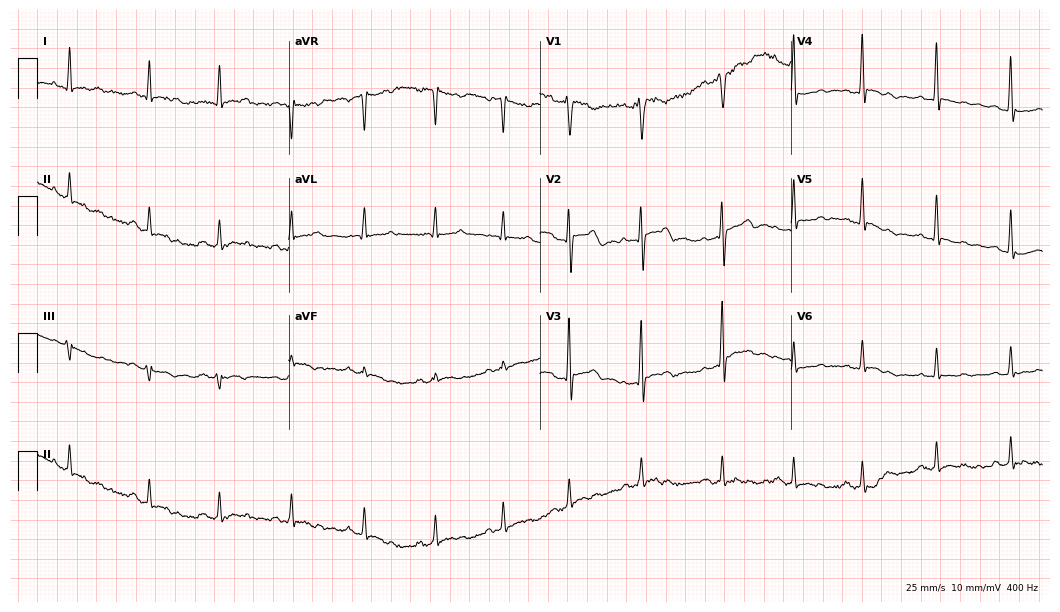
Electrocardiogram, a male, 35 years old. Overall reading on record: normal ECG.